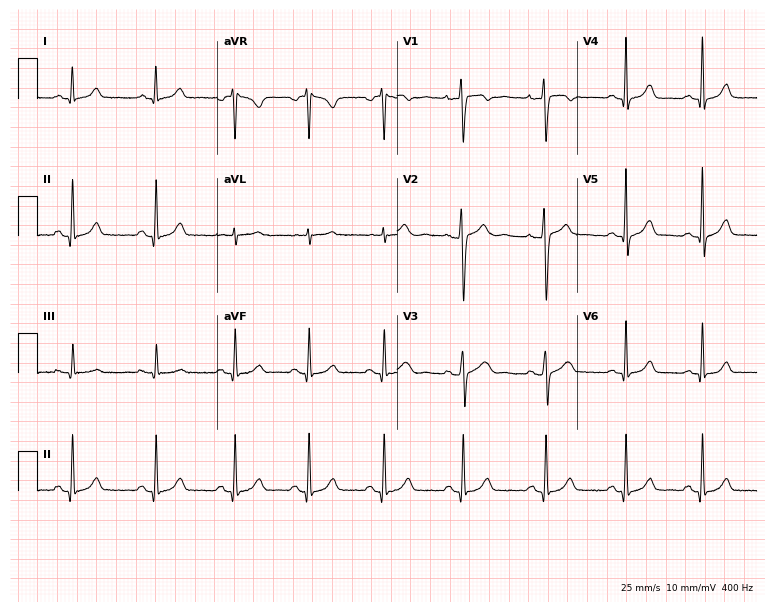
Standard 12-lead ECG recorded from a female patient, 31 years old (7.3-second recording at 400 Hz). None of these six findings is recorded: first-degree AV block, right bundle branch block (RBBB), left bundle branch block (LBBB), sinus bradycardia, atrial fibrillation (AF), sinus tachycardia. Other findings, if any, are not listed.